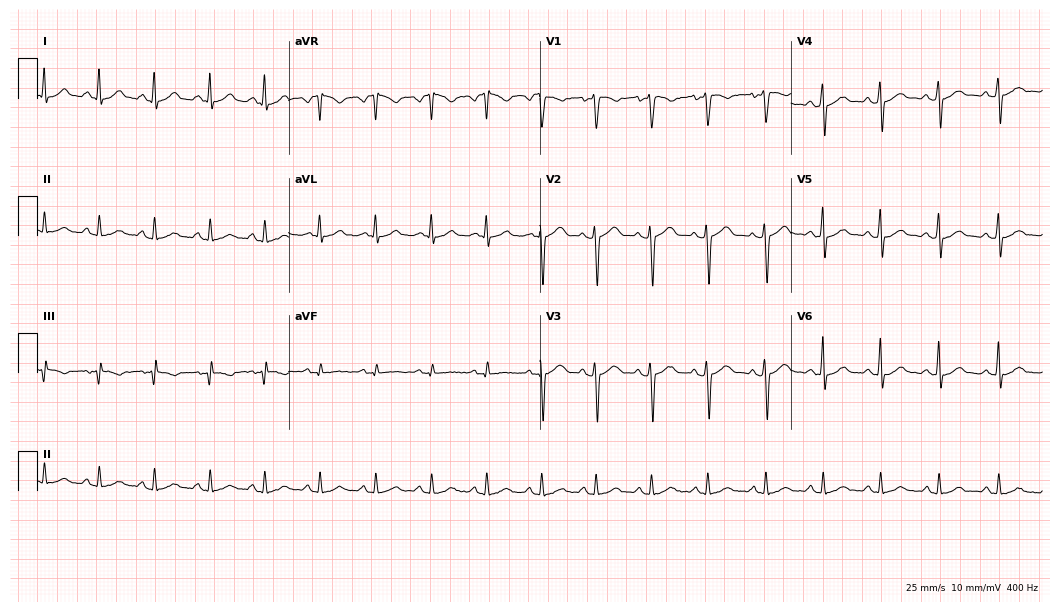
12-lead ECG from a male, 30 years old (10.2-second recording at 400 Hz). Shows sinus tachycardia (a sinus rate of 100 beats per minute or more).